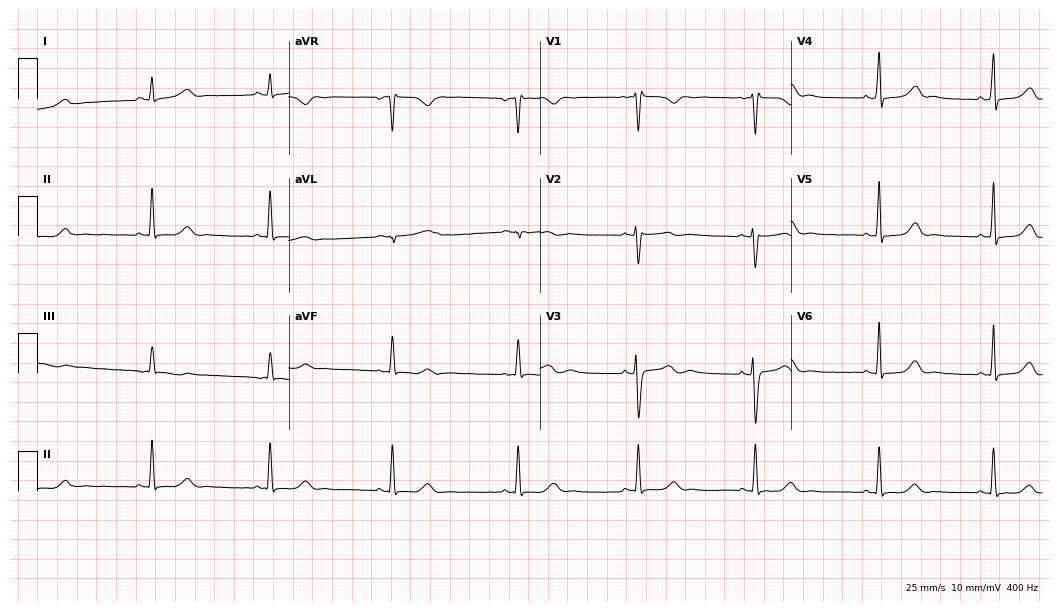
Electrocardiogram (10.2-second recording at 400 Hz), a female, 39 years old. Interpretation includes sinus bradycardia (a sinus rate of 50 beats per minute or less).